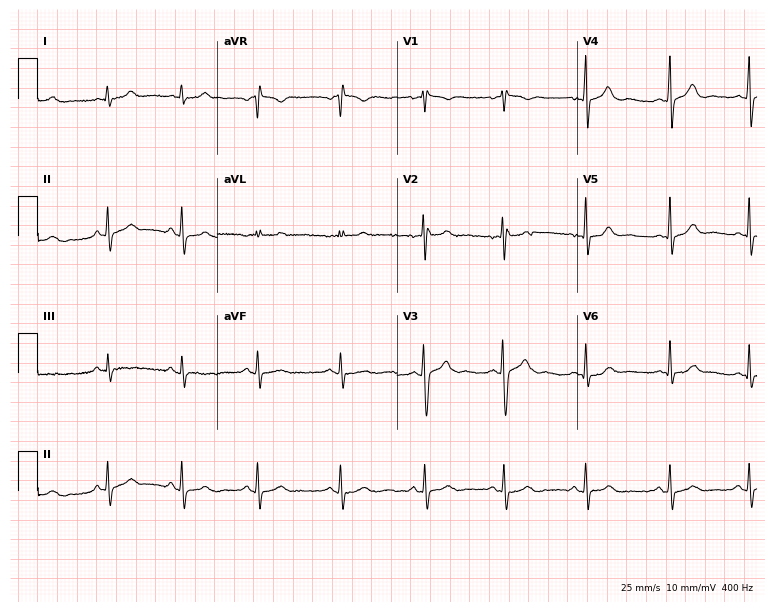
Resting 12-lead electrocardiogram. Patient: a 27-year-old female. Read as a normal ECG.